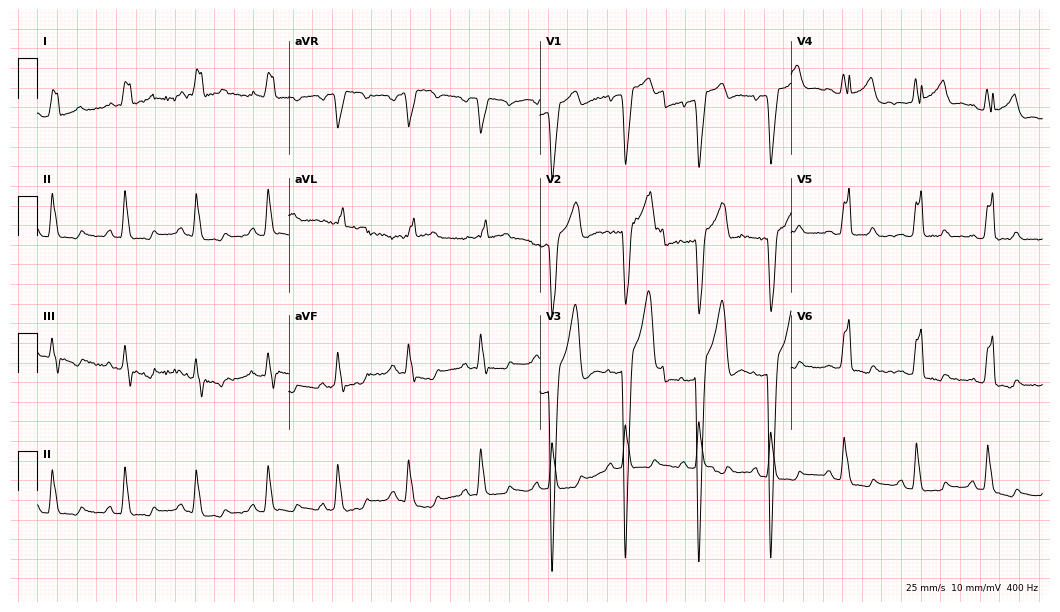
12-lead ECG from a woman, 50 years old (10.2-second recording at 400 Hz). Shows left bundle branch block (LBBB).